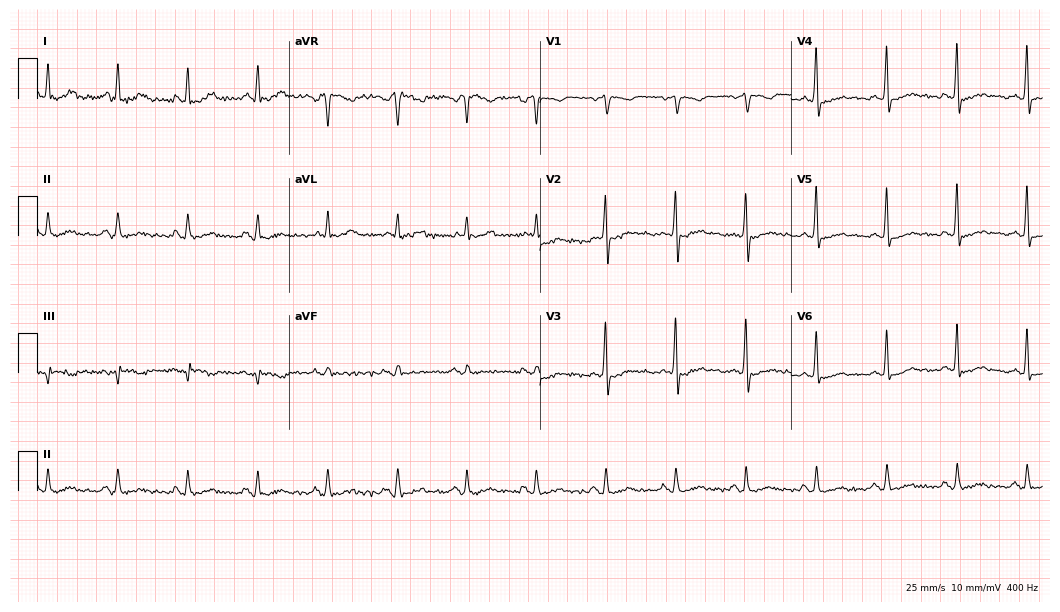
12-lead ECG from a male patient, 61 years old. No first-degree AV block, right bundle branch block (RBBB), left bundle branch block (LBBB), sinus bradycardia, atrial fibrillation (AF) or sinus tachycardia recorded for this tracing.